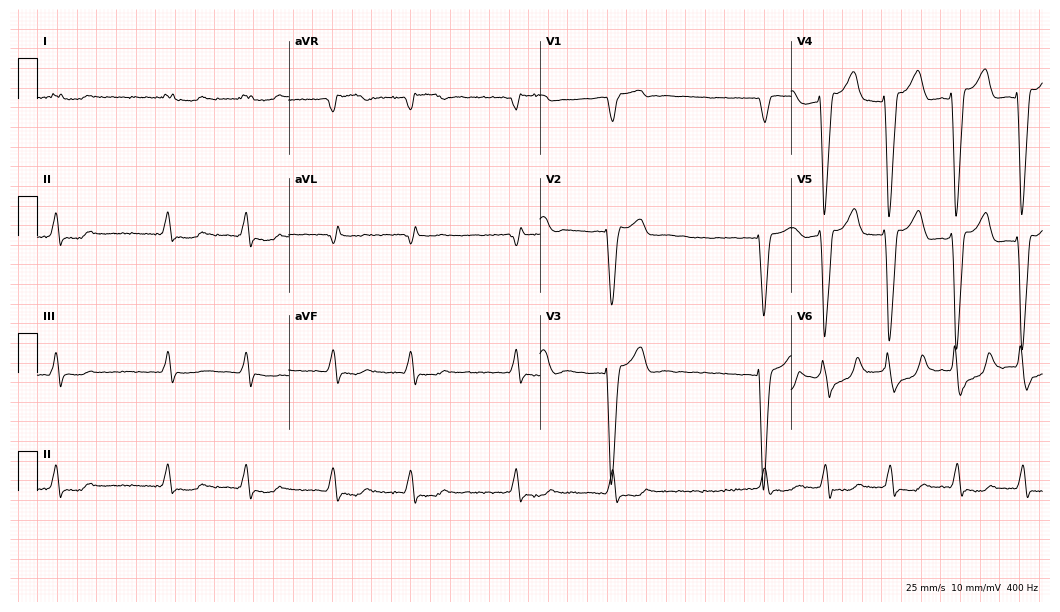
ECG (10.2-second recording at 400 Hz) — a 79-year-old man. Findings include left bundle branch block, atrial fibrillation.